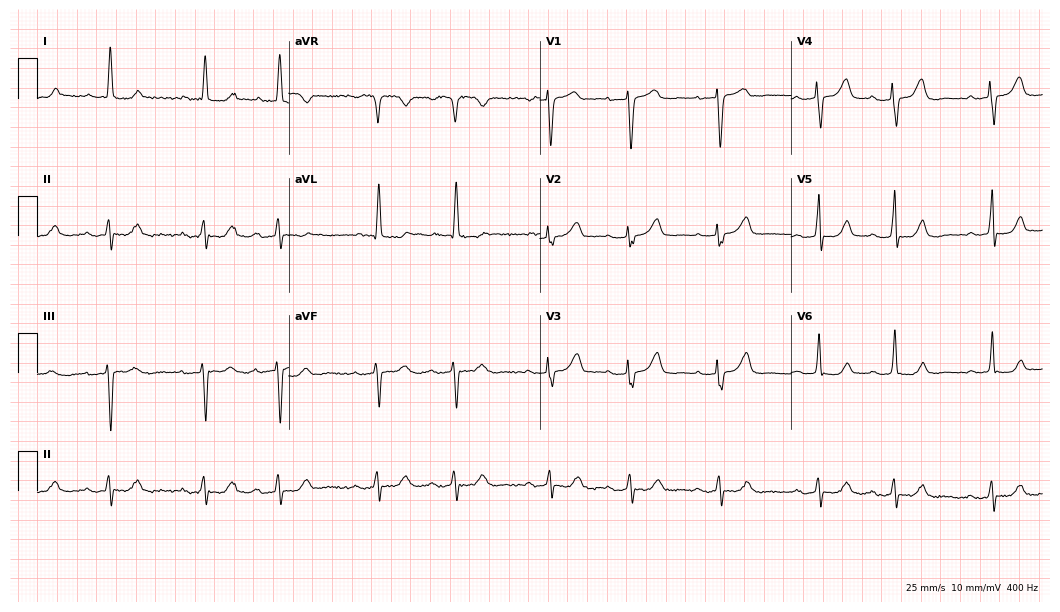
12-lead ECG from an 80-year-old female patient. Findings include first-degree AV block.